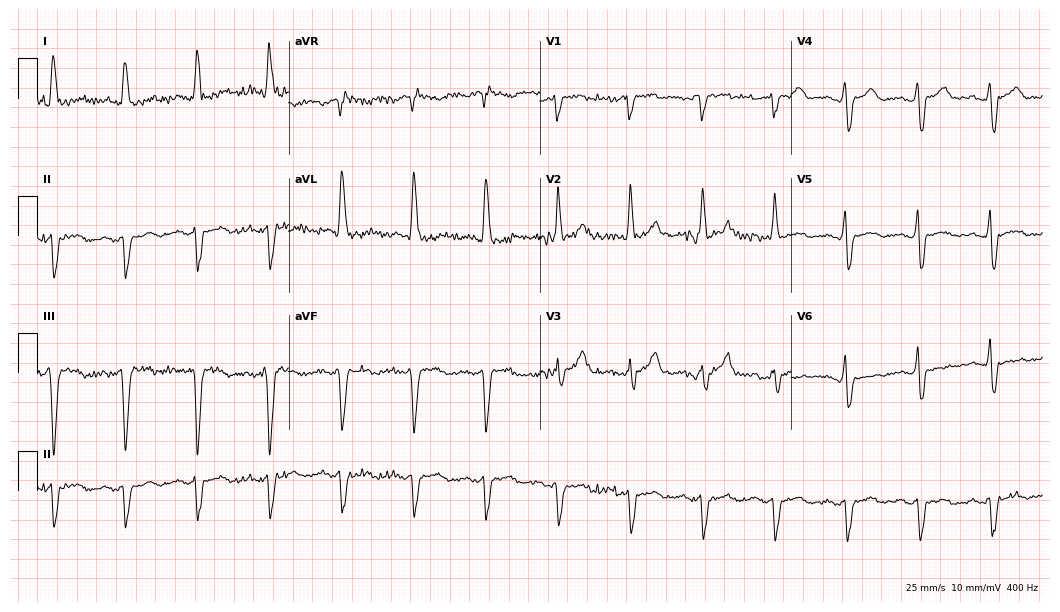
Standard 12-lead ECG recorded from a 69-year-old male patient. None of these six findings is recorded: first-degree AV block, right bundle branch block, left bundle branch block, sinus bradycardia, atrial fibrillation, sinus tachycardia.